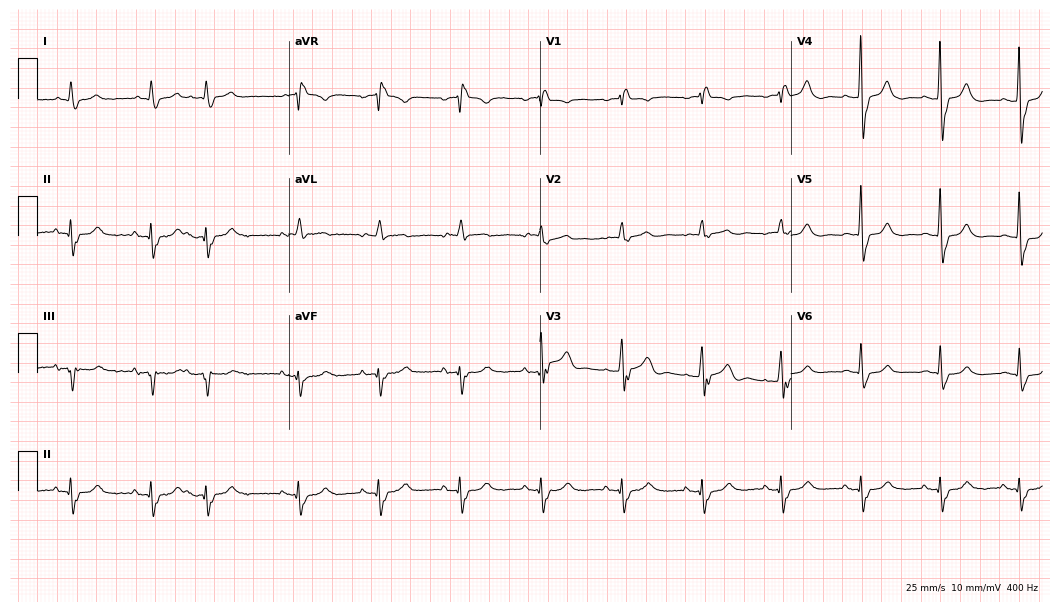
12-lead ECG from a 73-year-old man. Findings include right bundle branch block.